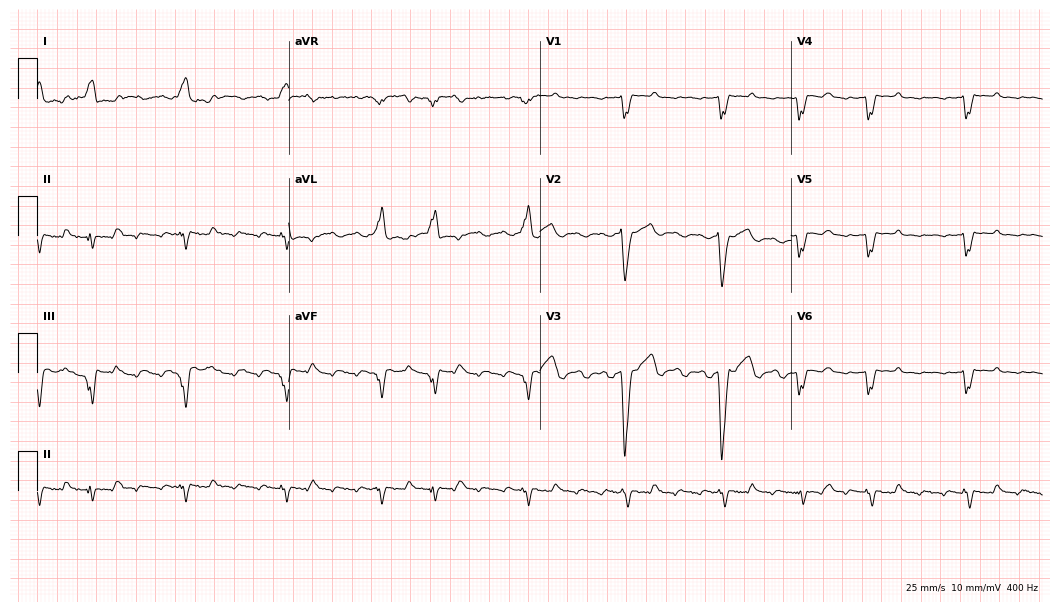
12-lead ECG from a 41-year-old woman. Findings include left bundle branch block.